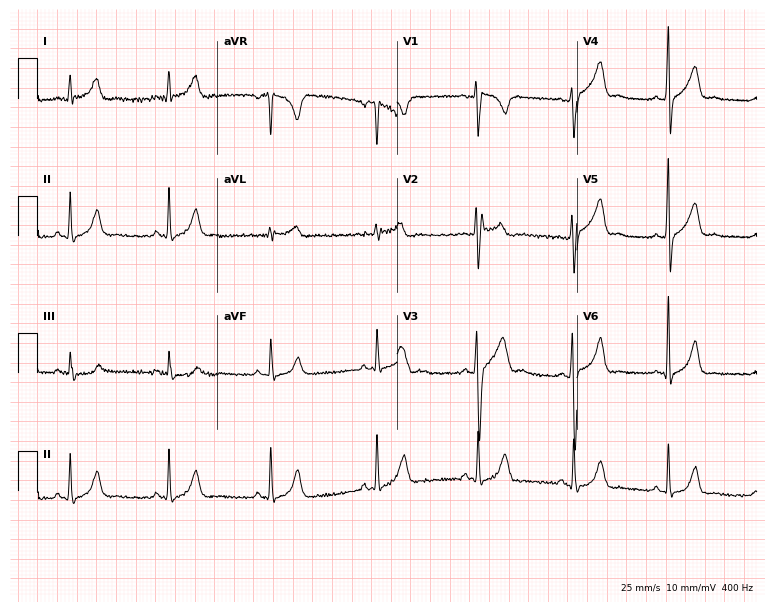
12-lead ECG from a 24-year-old male patient. Recorded interpretation: within normal limits.